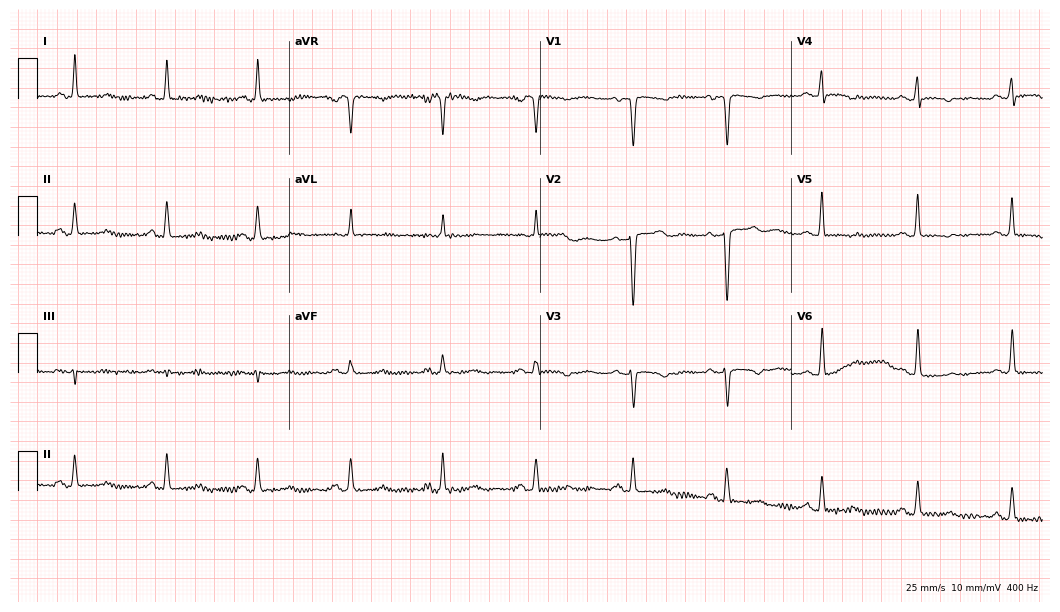
Electrocardiogram (10.2-second recording at 400 Hz), a 64-year-old female patient. Of the six screened findings (first-degree AV block, right bundle branch block (RBBB), left bundle branch block (LBBB), sinus bradycardia, atrial fibrillation (AF), sinus tachycardia), none is recorded.